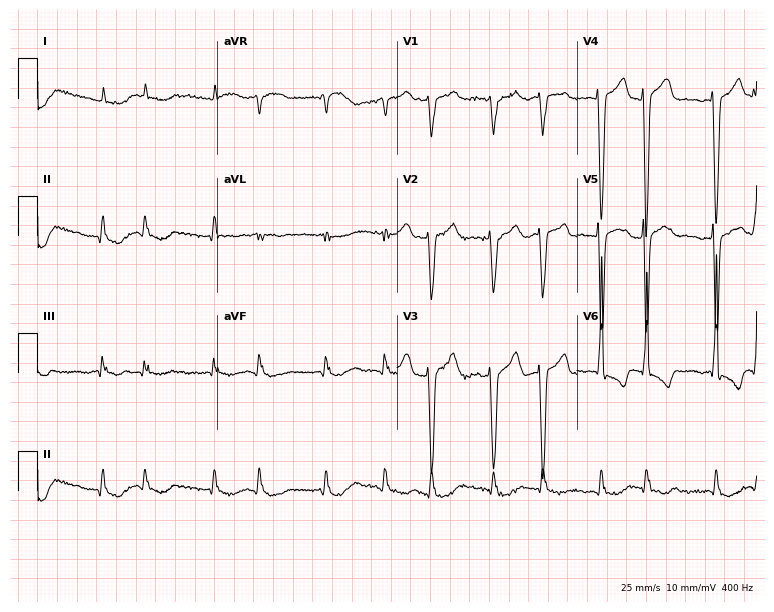
Resting 12-lead electrocardiogram (7.3-second recording at 400 Hz). Patient: a 78-year-old male. The tracing shows atrial fibrillation.